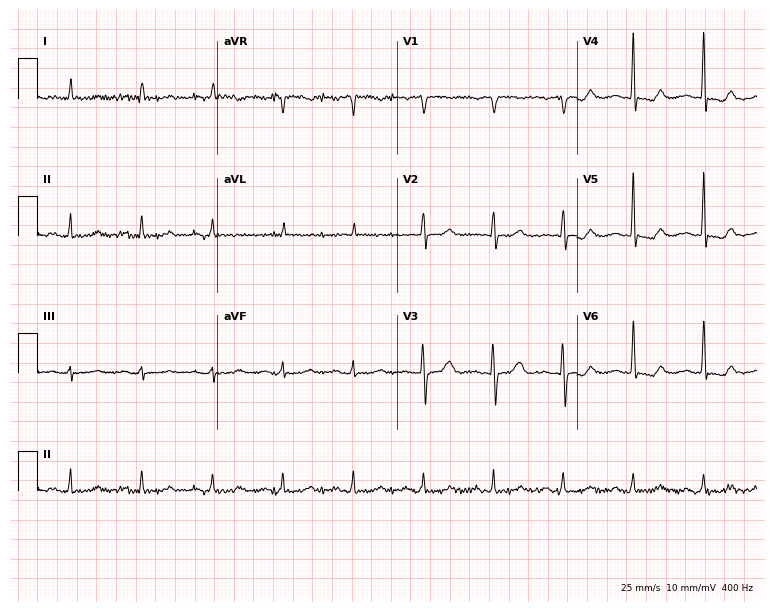
Electrocardiogram, a male patient, 80 years old. Of the six screened findings (first-degree AV block, right bundle branch block (RBBB), left bundle branch block (LBBB), sinus bradycardia, atrial fibrillation (AF), sinus tachycardia), none is recorded. Other findings, if any, are not listed.